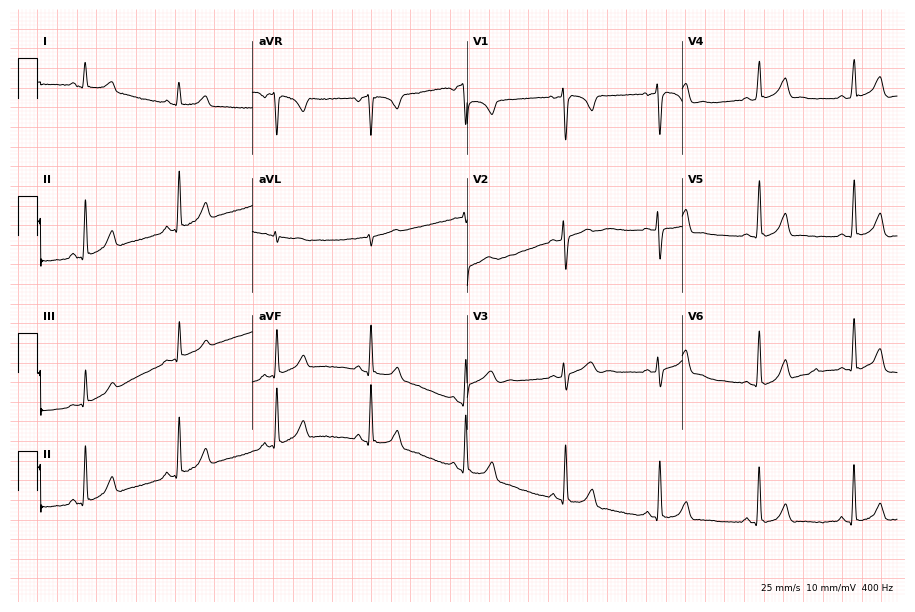
12-lead ECG from a female patient, 21 years old. Labelled as a normal ECG.